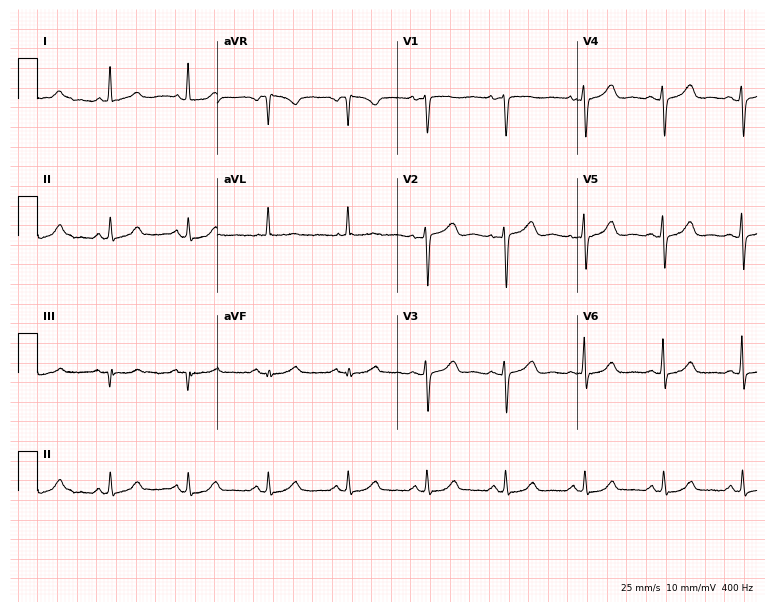
Electrocardiogram, a 65-year-old female patient. Overall reading on record: normal ECG.